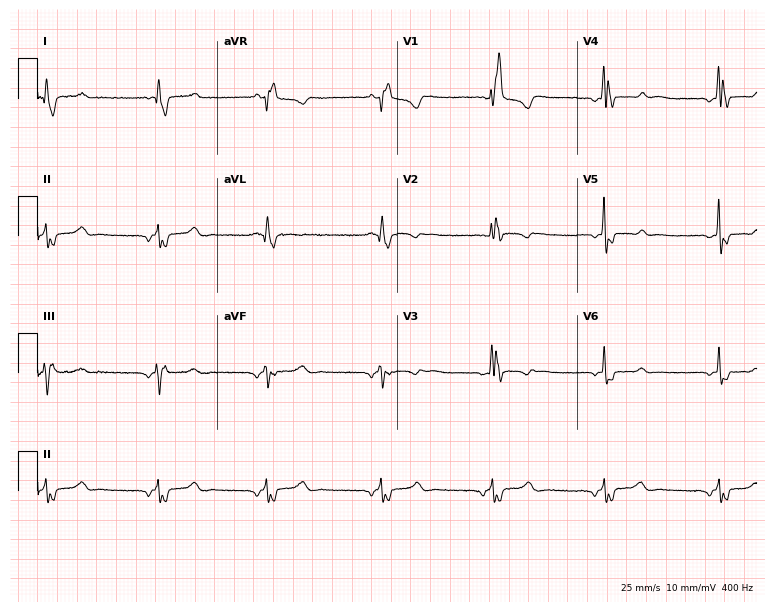
12-lead ECG (7.3-second recording at 400 Hz) from a 69-year-old woman. Findings include right bundle branch block.